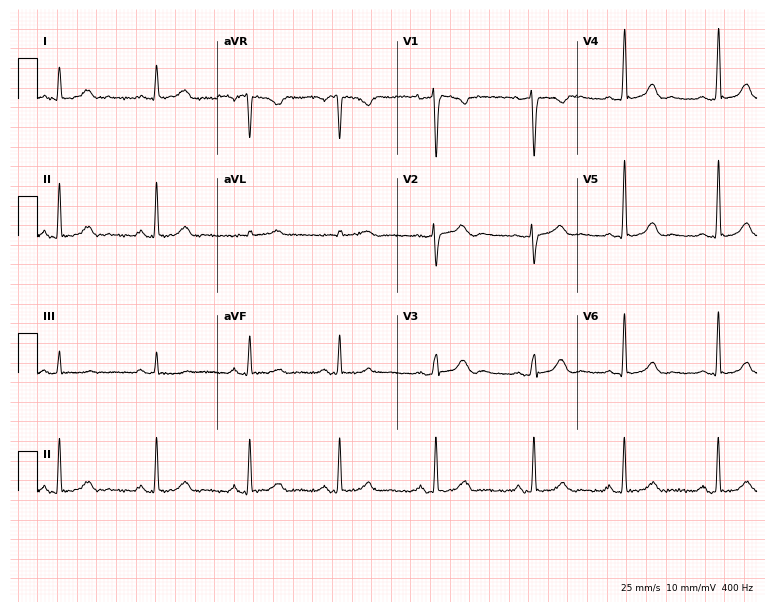
12-lead ECG from a 39-year-old female. Labelled as a normal ECG.